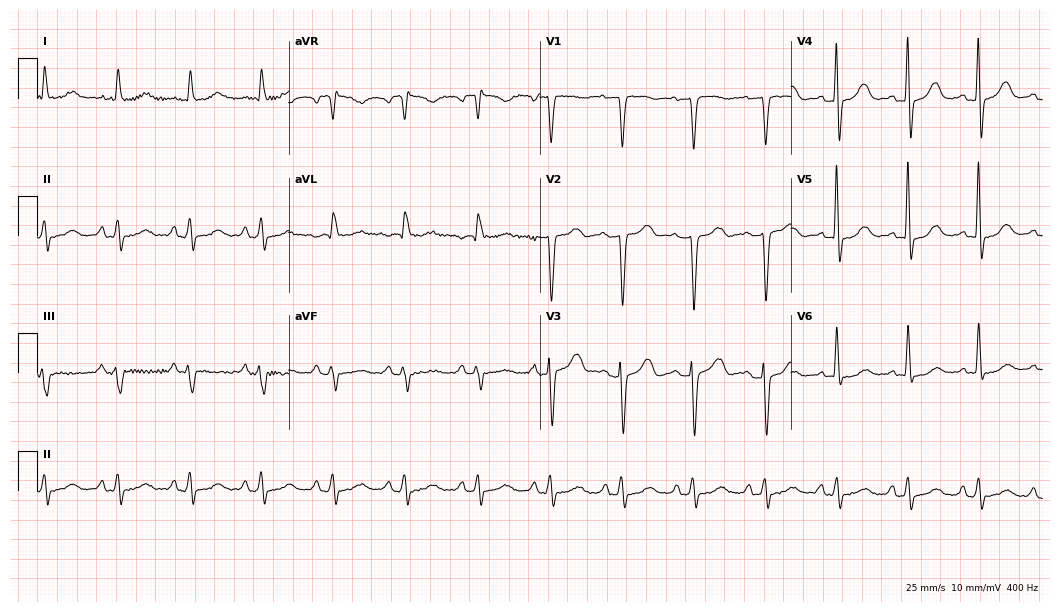
Electrocardiogram, a 78-year-old woman. Overall reading on record: normal ECG.